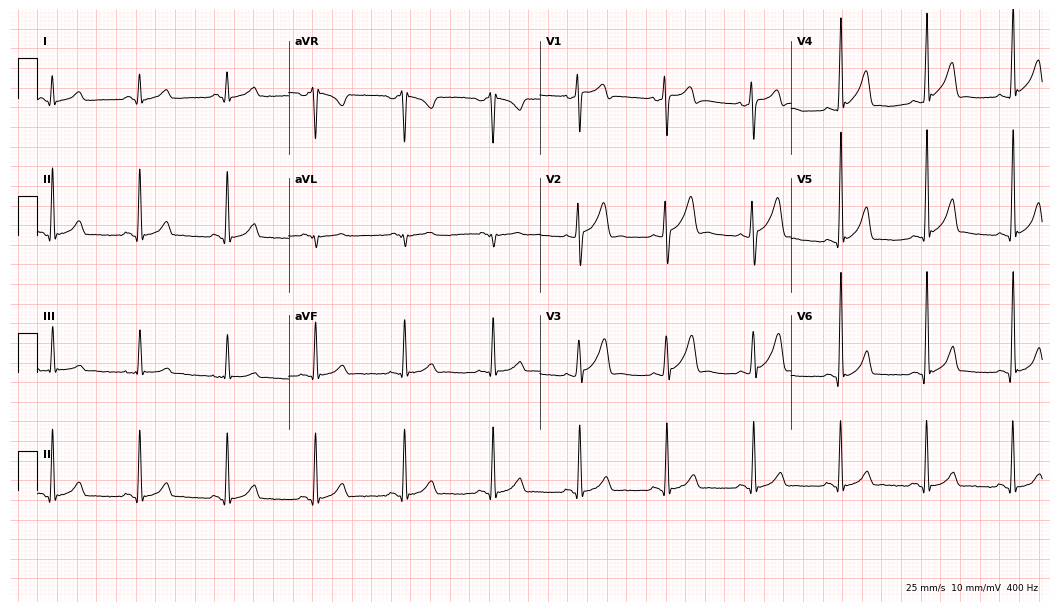
Resting 12-lead electrocardiogram. Patient: a male, 35 years old. None of these six findings is recorded: first-degree AV block, right bundle branch block (RBBB), left bundle branch block (LBBB), sinus bradycardia, atrial fibrillation (AF), sinus tachycardia.